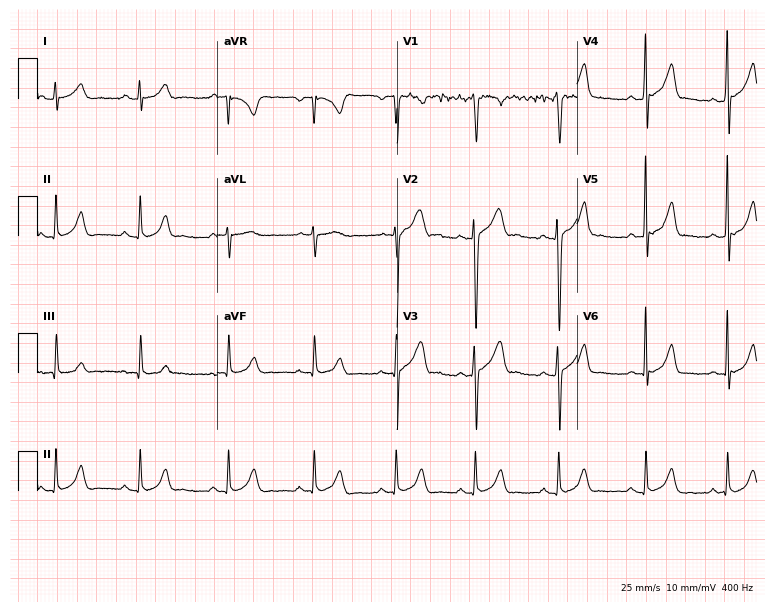
Resting 12-lead electrocardiogram. Patient: an 18-year-old man. None of these six findings is recorded: first-degree AV block, right bundle branch block (RBBB), left bundle branch block (LBBB), sinus bradycardia, atrial fibrillation (AF), sinus tachycardia.